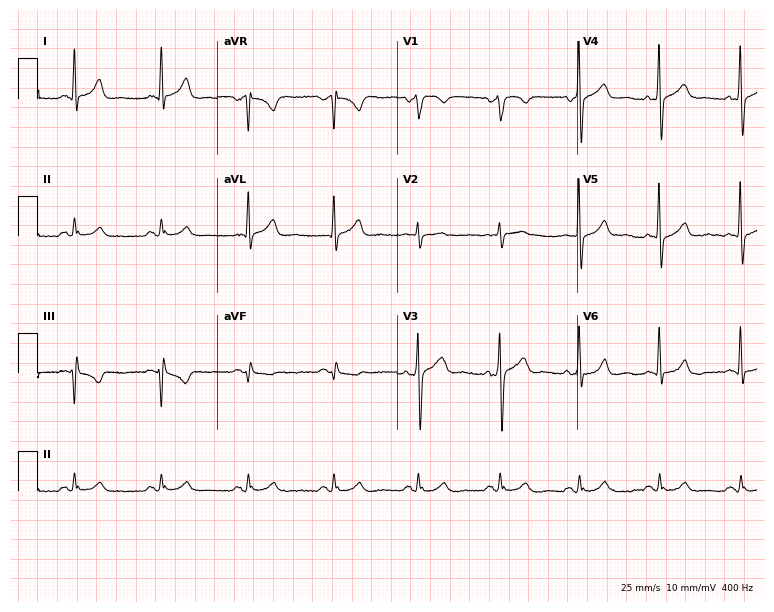
12-lead ECG from a male patient, 47 years old. Screened for six findings — first-degree AV block, right bundle branch block (RBBB), left bundle branch block (LBBB), sinus bradycardia, atrial fibrillation (AF), sinus tachycardia — none is recorded.